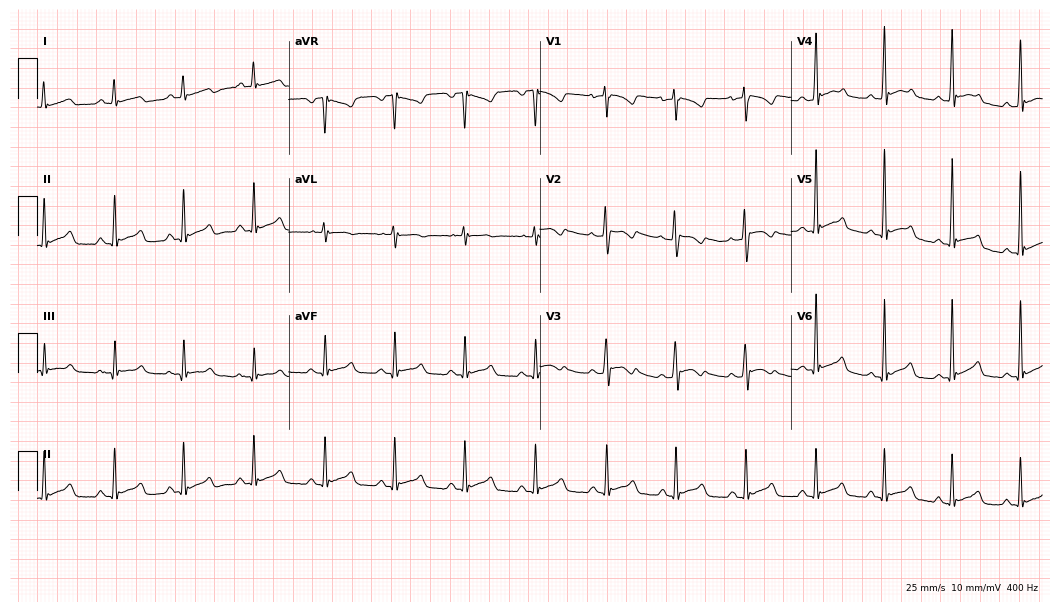
12-lead ECG from a 30-year-old female. Labelled as a normal ECG.